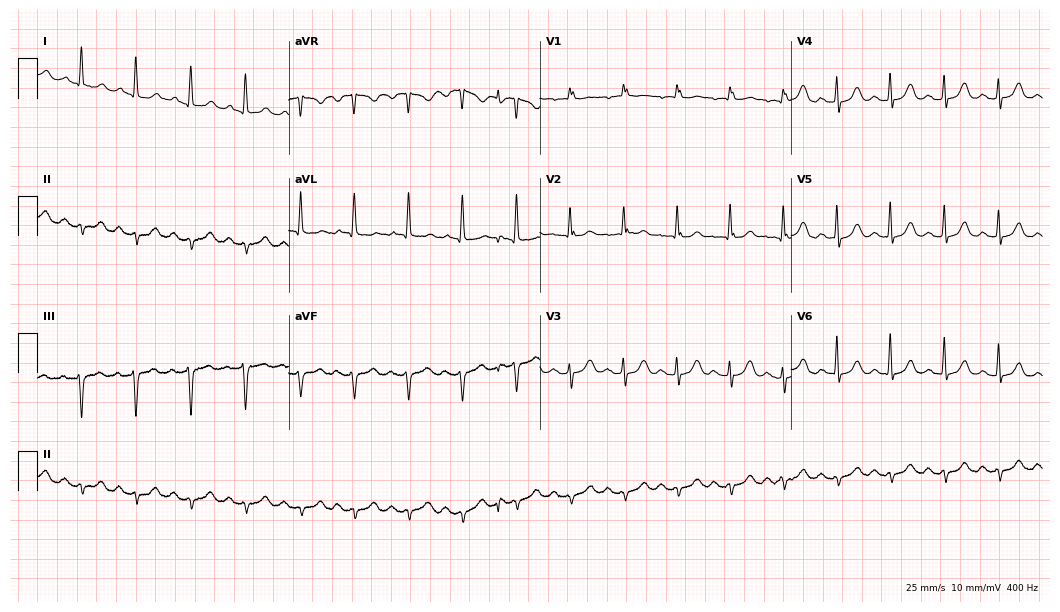
ECG (10.2-second recording at 400 Hz) — a 65-year-old male patient. Findings include sinus tachycardia (a sinus rate of 100 beats per minute or more).